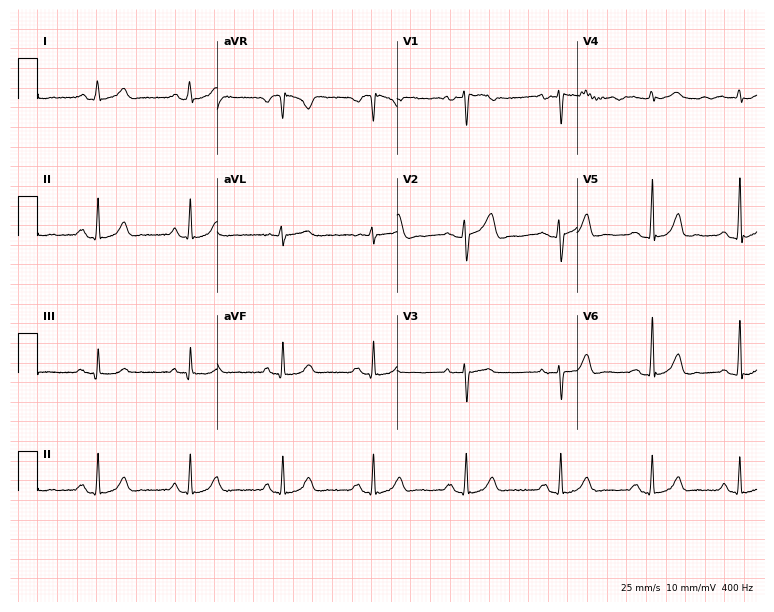
Resting 12-lead electrocardiogram. Patient: a female, 33 years old. Read as a normal ECG.